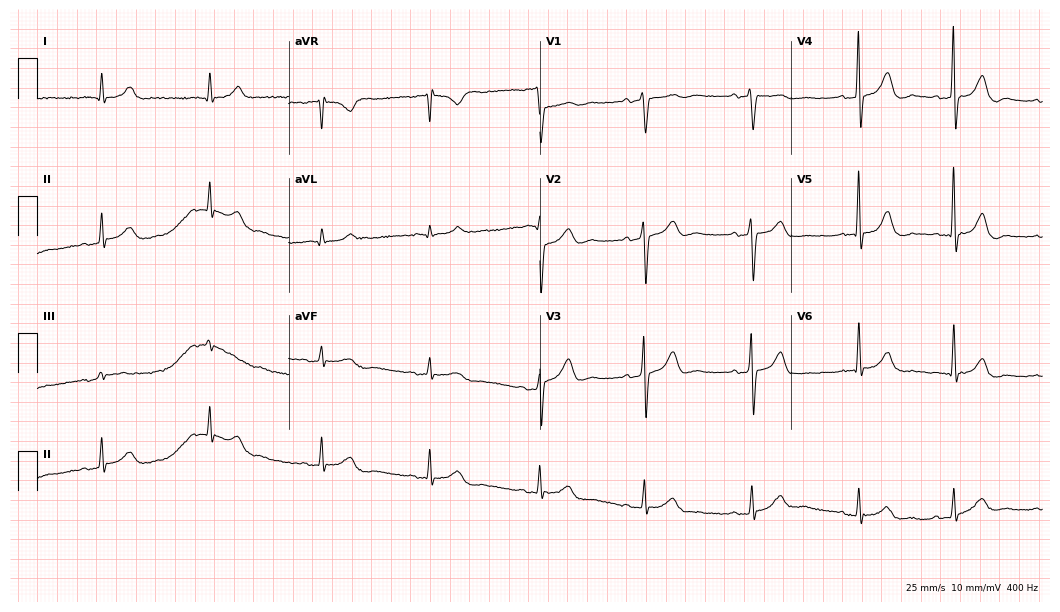
Resting 12-lead electrocardiogram. Patient: a 68-year-old female. Read as a normal ECG.